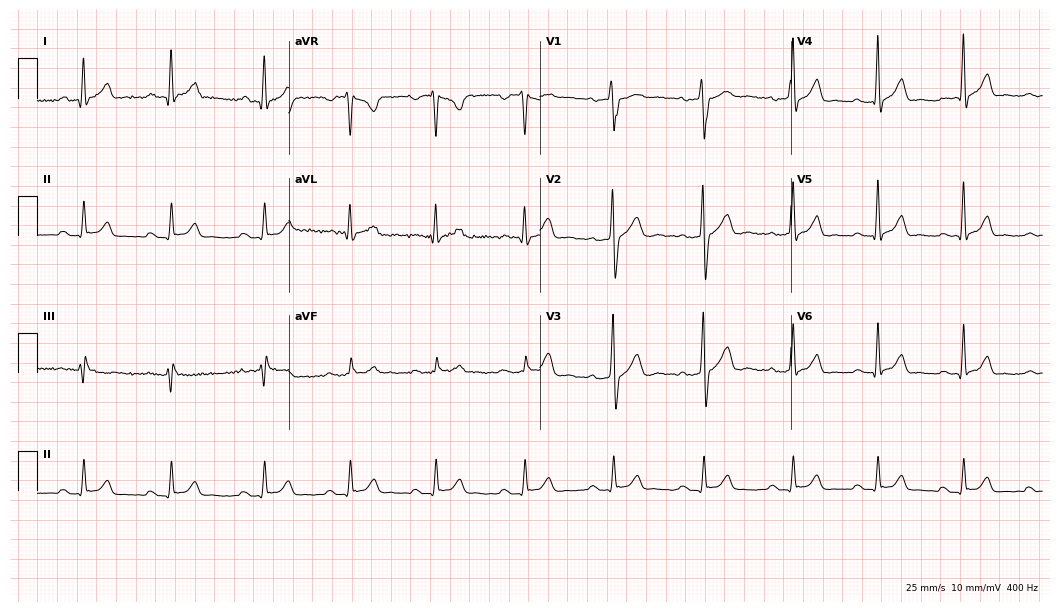
12-lead ECG from a female, 25 years old. Screened for six findings — first-degree AV block, right bundle branch block, left bundle branch block, sinus bradycardia, atrial fibrillation, sinus tachycardia — none is recorded. Other findings, if any, are not listed.